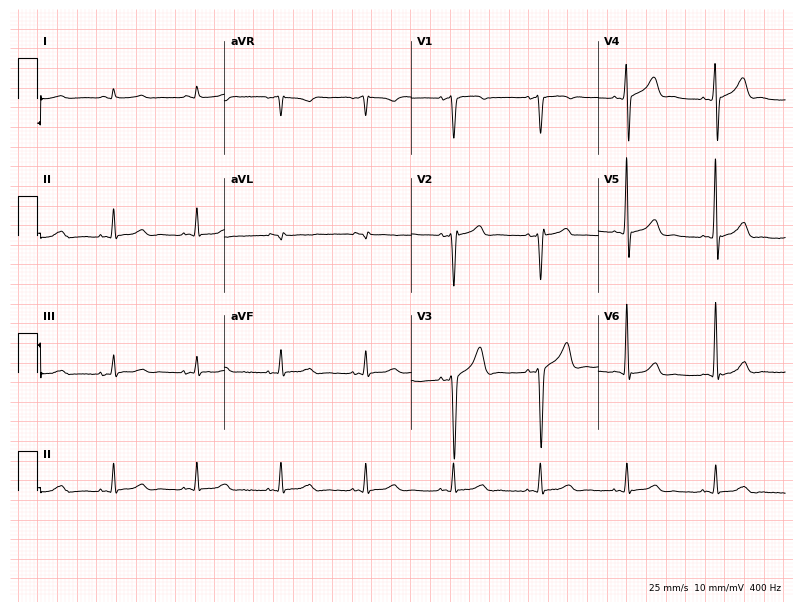
Electrocardiogram, a 58-year-old man. Of the six screened findings (first-degree AV block, right bundle branch block (RBBB), left bundle branch block (LBBB), sinus bradycardia, atrial fibrillation (AF), sinus tachycardia), none is recorded. Only these six findings were labelled.